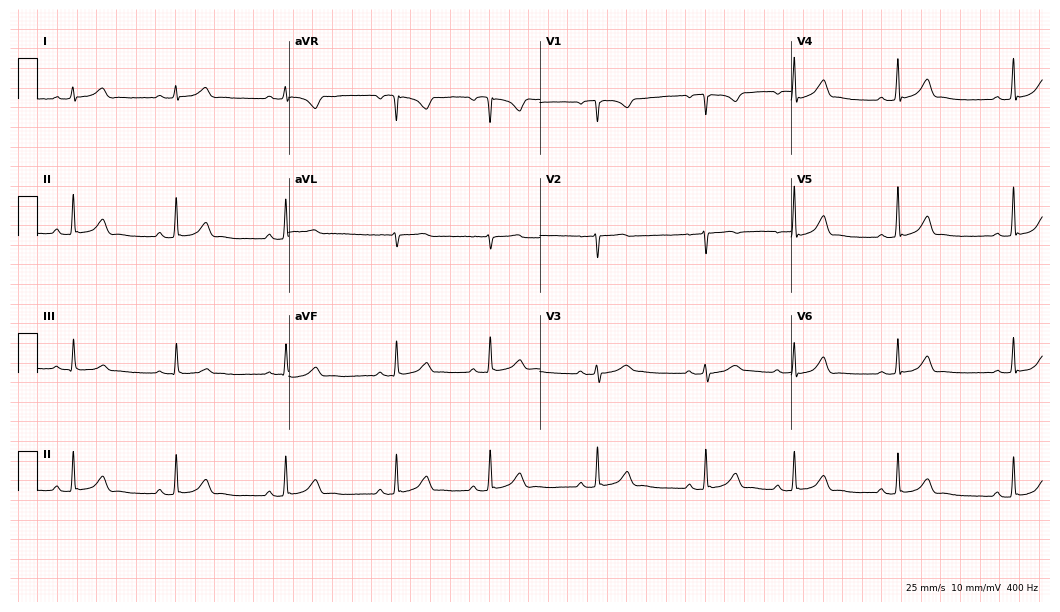
12-lead ECG (10.2-second recording at 400 Hz) from a 36-year-old woman. Screened for six findings — first-degree AV block, right bundle branch block, left bundle branch block, sinus bradycardia, atrial fibrillation, sinus tachycardia — none is recorded. Only these six findings were labelled.